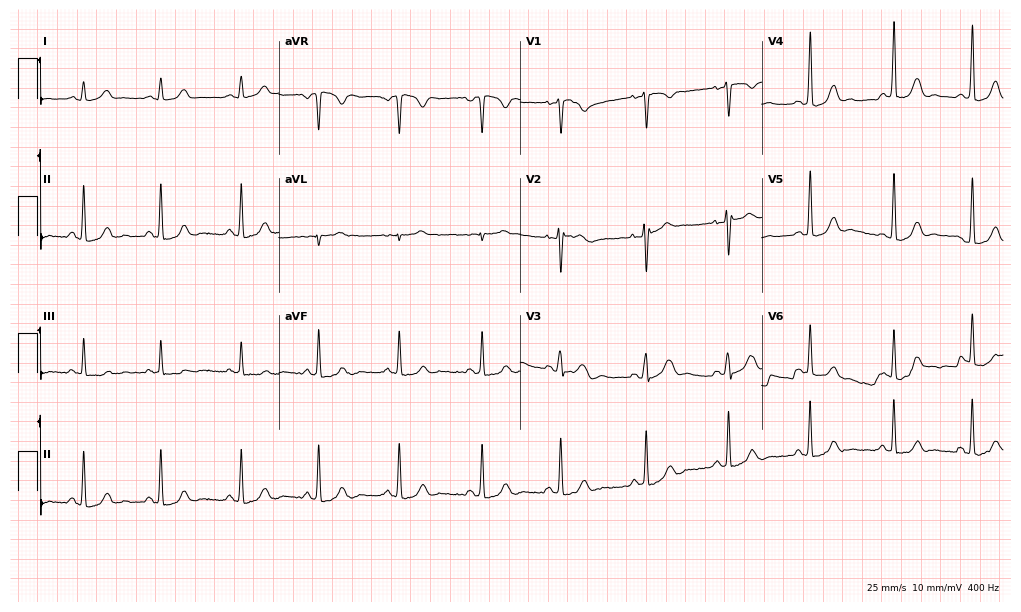
12-lead ECG (9.8-second recording at 400 Hz) from a female patient, 29 years old. Labelled as a normal ECG.